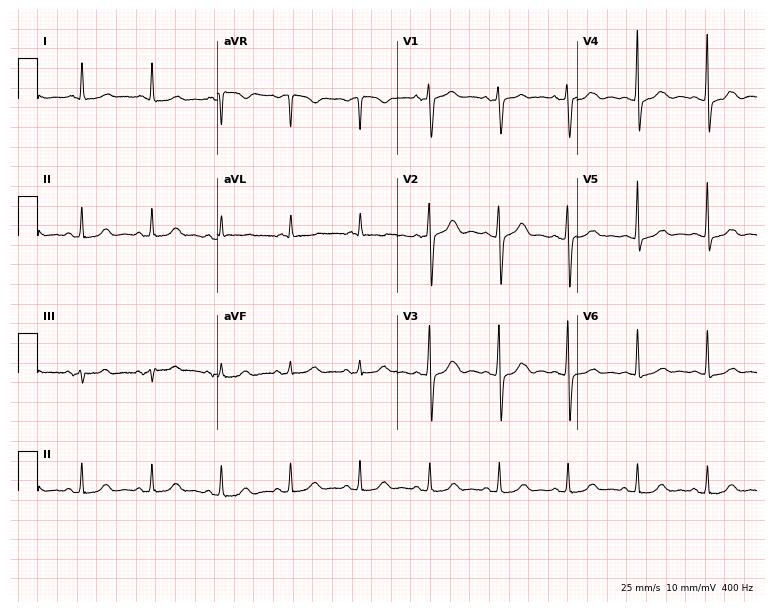
Standard 12-lead ECG recorded from a 70-year-old female patient. Read as a normal ECG.